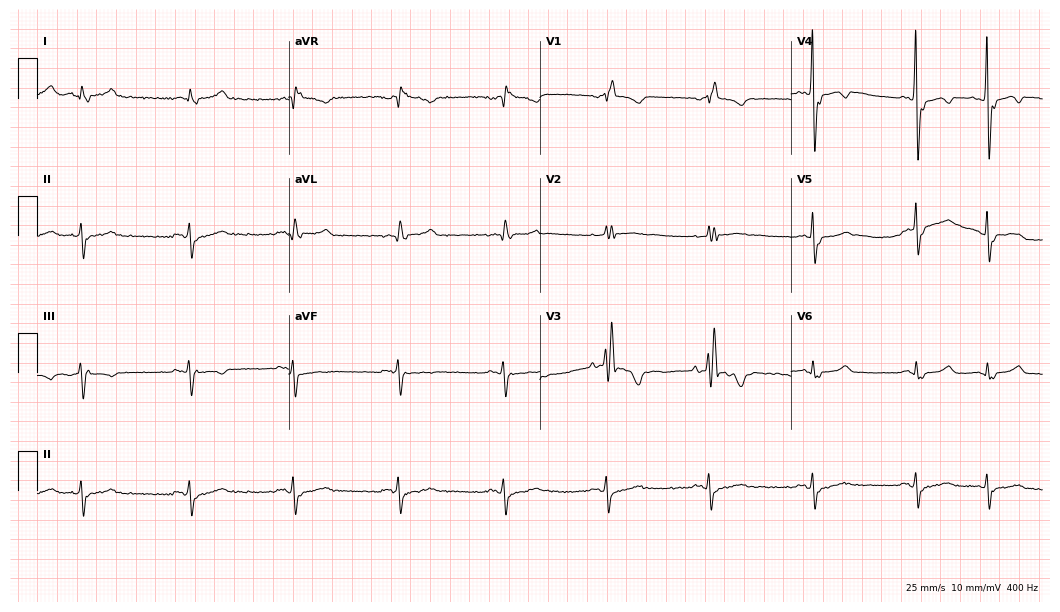
ECG (10.2-second recording at 400 Hz) — an 80-year-old male patient. Screened for six findings — first-degree AV block, right bundle branch block (RBBB), left bundle branch block (LBBB), sinus bradycardia, atrial fibrillation (AF), sinus tachycardia — none is recorded.